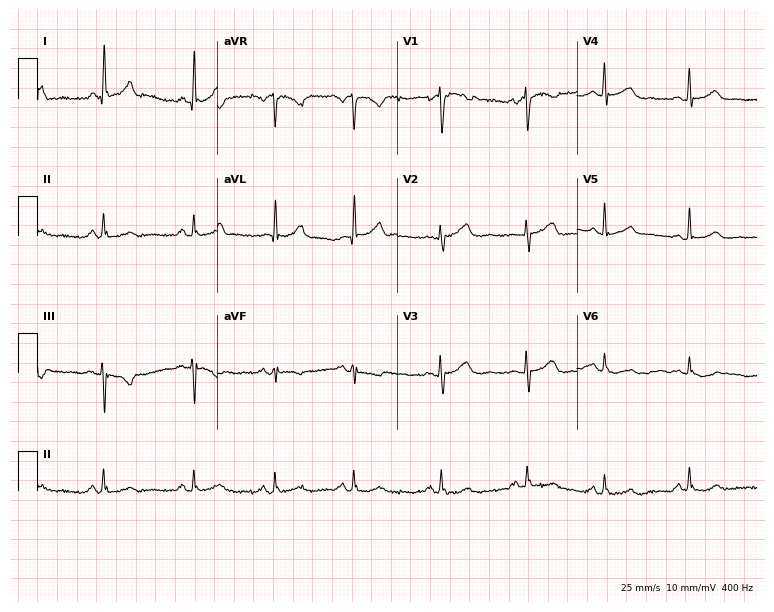
Standard 12-lead ECG recorded from a woman, 49 years old. Read as a normal ECG.